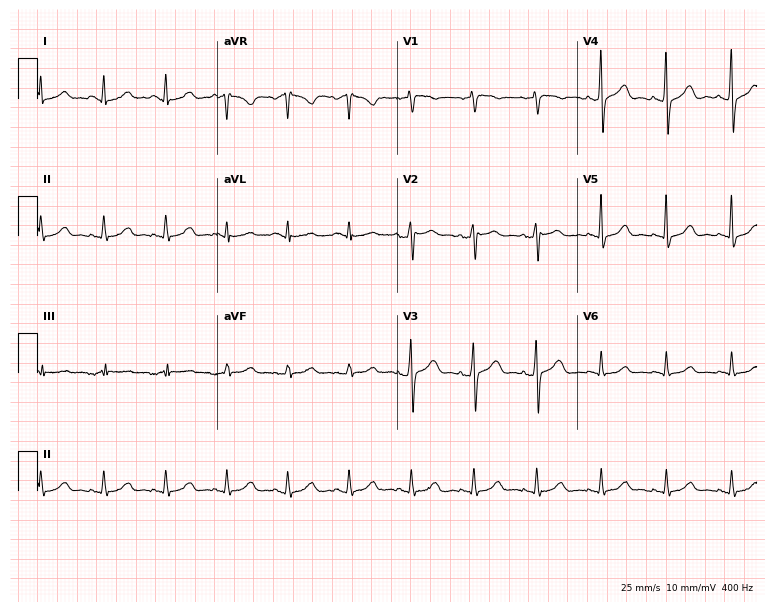
12-lead ECG (7.3-second recording at 400 Hz) from a 44-year-old woman. Labelled as a normal ECG.